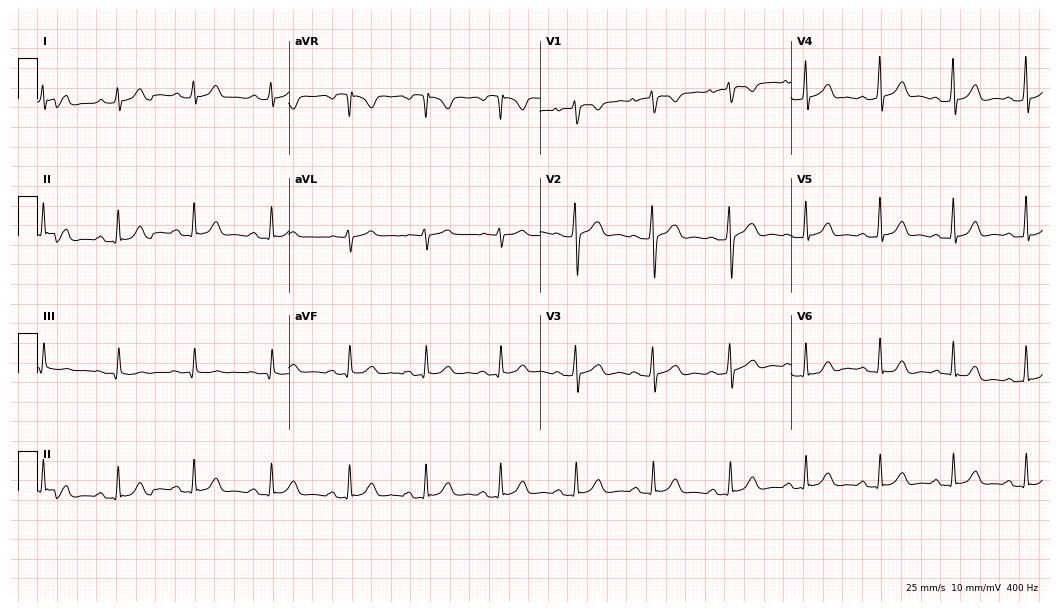
12-lead ECG (10.2-second recording at 400 Hz) from a female patient, 49 years old. Labelled as a normal ECG.